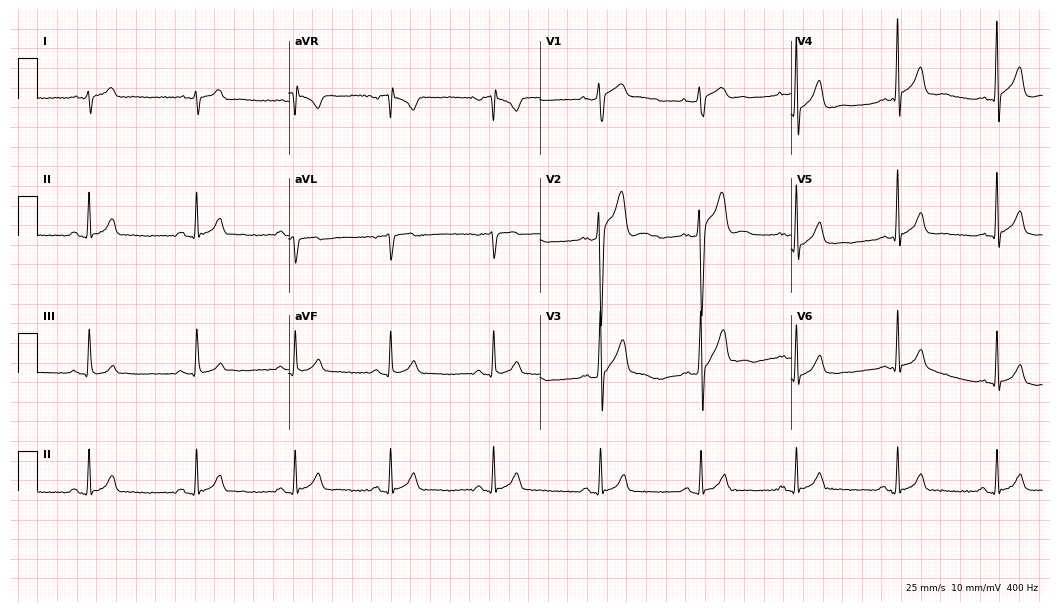
12-lead ECG from a 20-year-old male. Recorded interpretation: within normal limits.